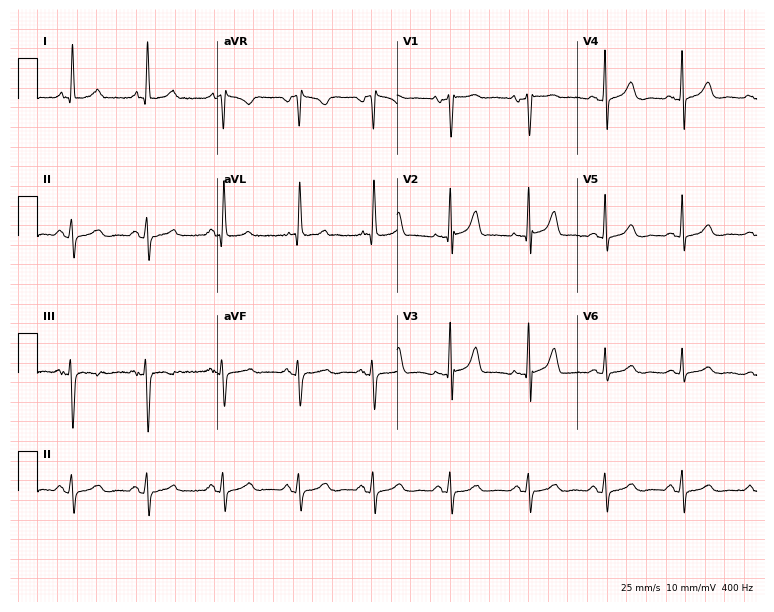
12-lead ECG from a female, 58 years old (7.3-second recording at 400 Hz). No first-degree AV block, right bundle branch block, left bundle branch block, sinus bradycardia, atrial fibrillation or sinus tachycardia recorded for this tracing. Only these six findings were labelled.